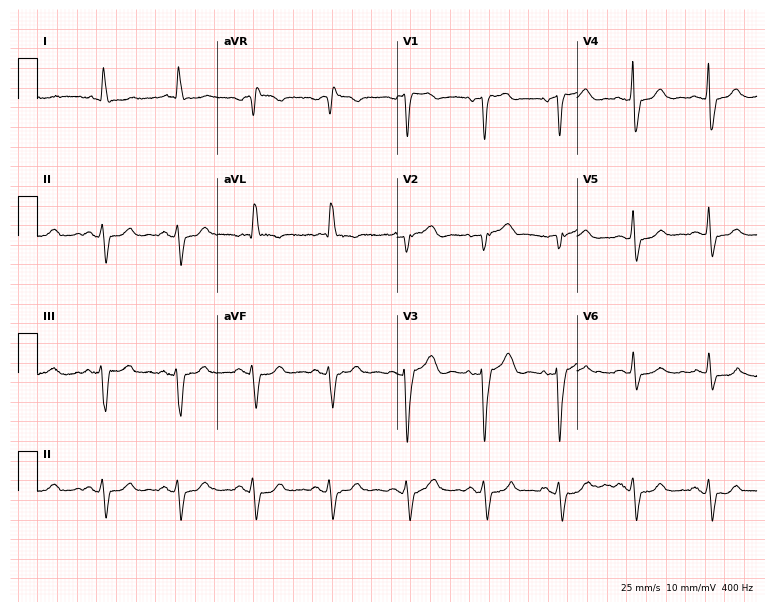
ECG (7.3-second recording at 400 Hz) — a female patient, 81 years old. Screened for six findings — first-degree AV block, right bundle branch block (RBBB), left bundle branch block (LBBB), sinus bradycardia, atrial fibrillation (AF), sinus tachycardia — none is recorded.